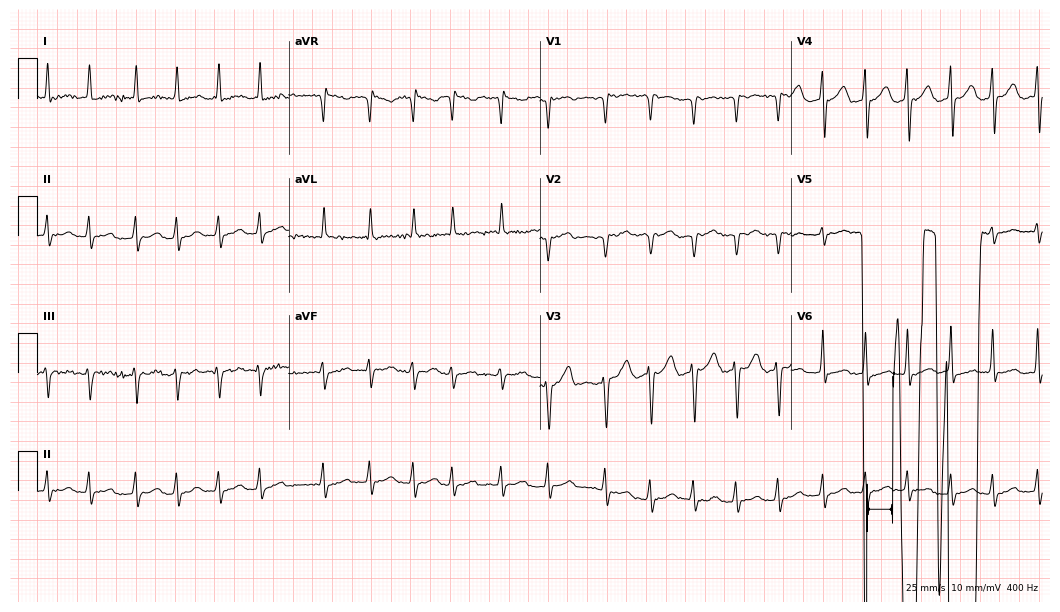
12-lead ECG from a woman, 80 years old. Findings include atrial fibrillation.